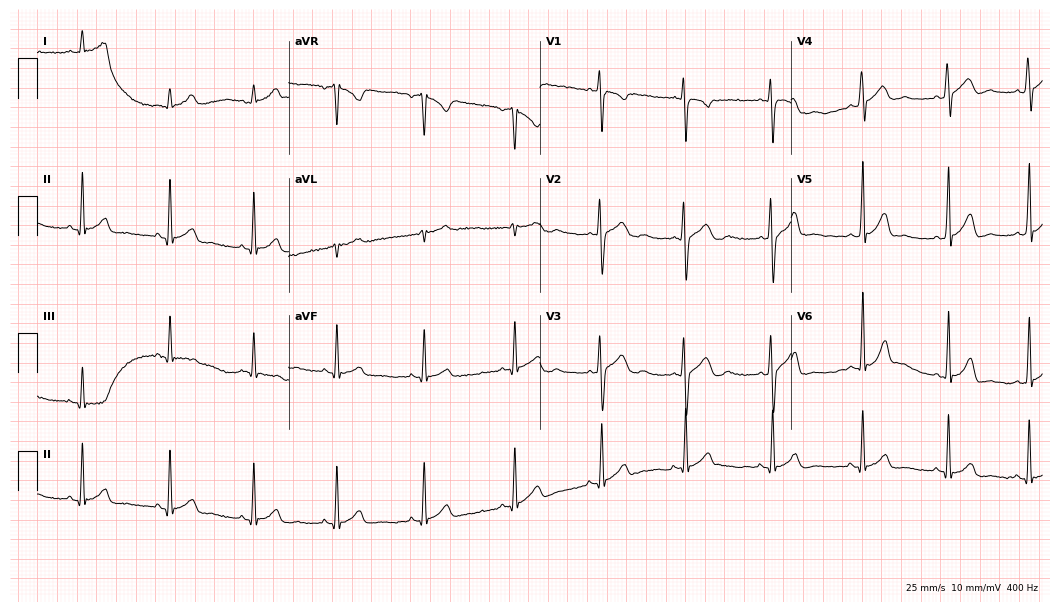
ECG — a 19-year-old female patient. Screened for six findings — first-degree AV block, right bundle branch block, left bundle branch block, sinus bradycardia, atrial fibrillation, sinus tachycardia — none is recorded.